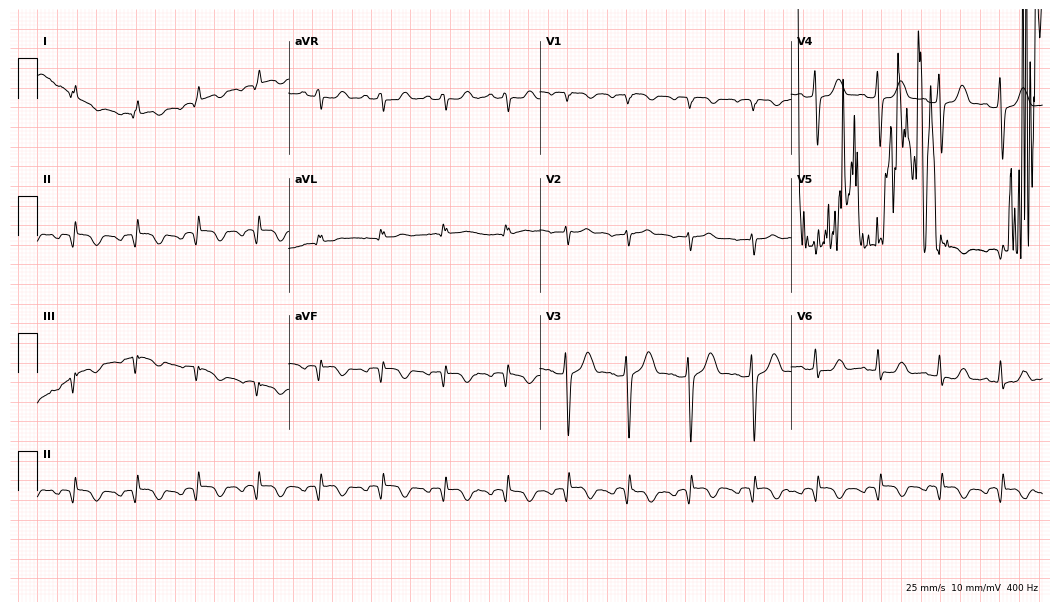
12-lead ECG from a 36-year-old female patient (10.2-second recording at 400 Hz). No first-degree AV block, right bundle branch block, left bundle branch block, sinus bradycardia, atrial fibrillation or sinus tachycardia recorded for this tracing. Findings outside these six are not listed.